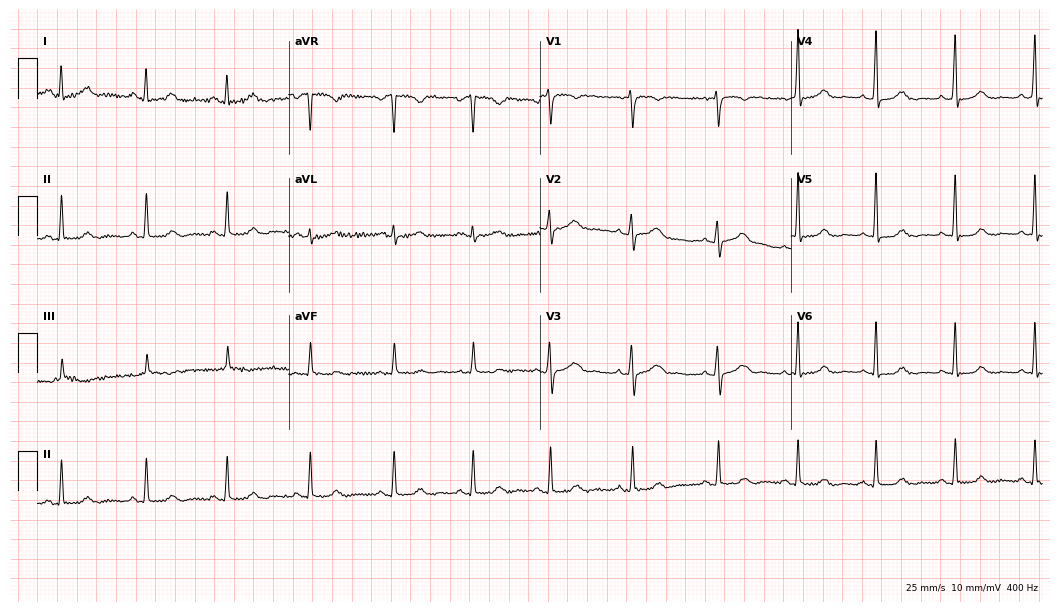
12-lead ECG from a woman, 31 years old (10.2-second recording at 400 Hz). Recorded interpretation: within normal limits.